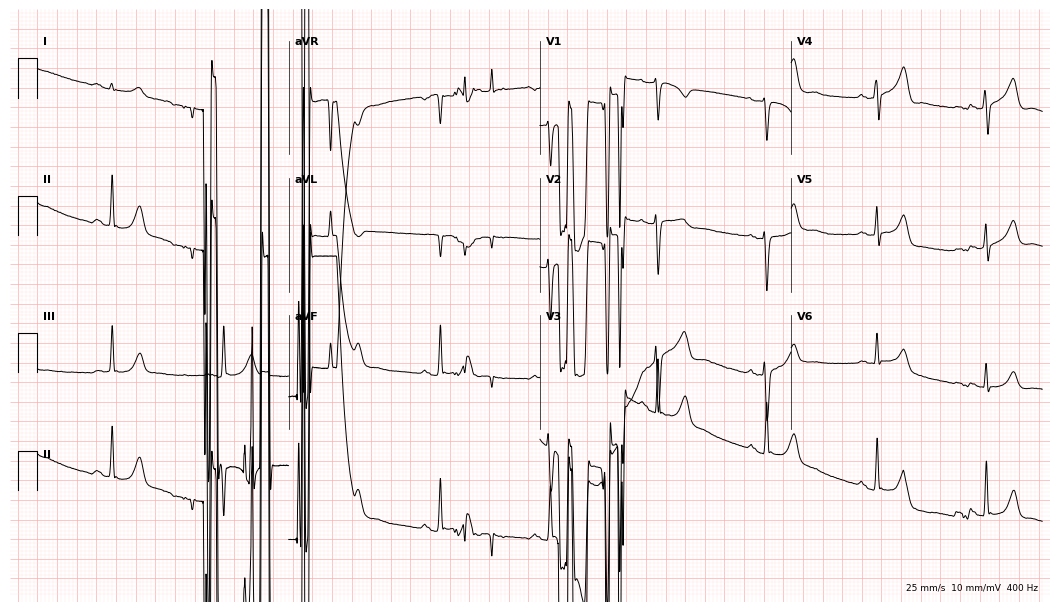
12-lead ECG from a 50-year-old male patient. Screened for six findings — first-degree AV block, right bundle branch block, left bundle branch block, sinus bradycardia, atrial fibrillation, sinus tachycardia — none is recorded. Findings outside these six are not listed.